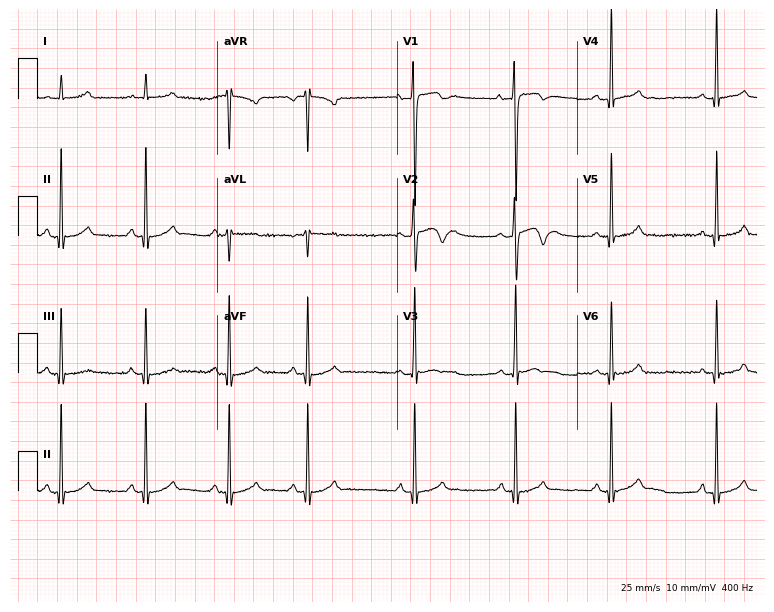
ECG (7.3-second recording at 400 Hz) — an 18-year-old man. Labelled as a normal ECG.